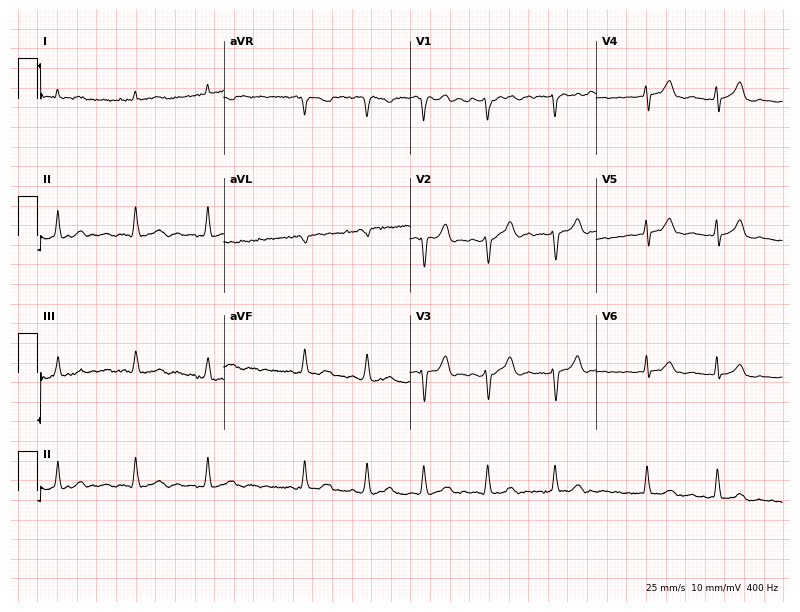
12-lead ECG from a man, 80 years old (7.6-second recording at 400 Hz). Shows atrial fibrillation (AF).